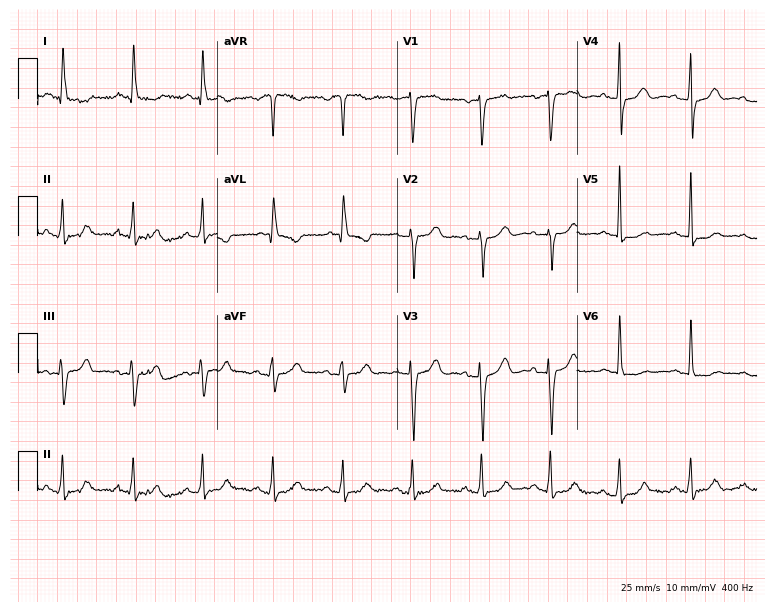
ECG (7.3-second recording at 400 Hz) — a 57-year-old female. Screened for six findings — first-degree AV block, right bundle branch block, left bundle branch block, sinus bradycardia, atrial fibrillation, sinus tachycardia — none is recorded.